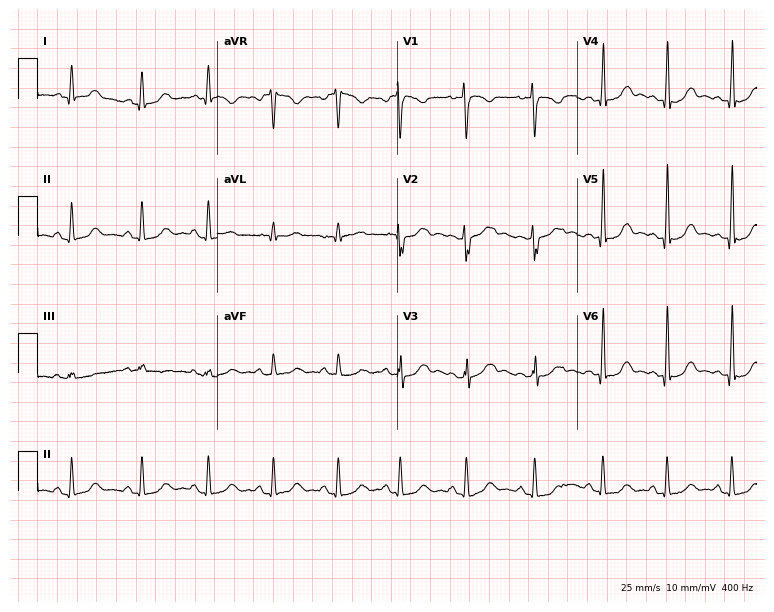
Standard 12-lead ECG recorded from a 33-year-old female patient (7.3-second recording at 400 Hz). None of these six findings is recorded: first-degree AV block, right bundle branch block (RBBB), left bundle branch block (LBBB), sinus bradycardia, atrial fibrillation (AF), sinus tachycardia.